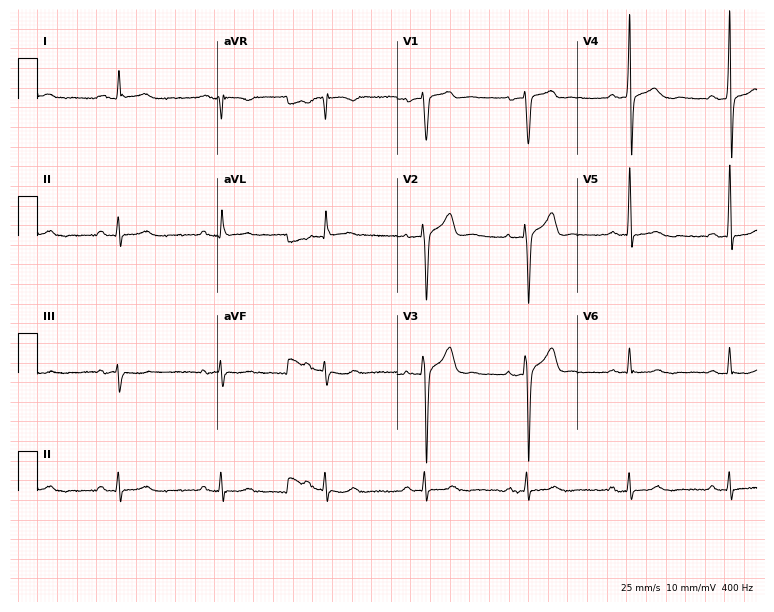
Resting 12-lead electrocardiogram (7.3-second recording at 400 Hz). Patient: a 58-year-old man. None of these six findings is recorded: first-degree AV block, right bundle branch block, left bundle branch block, sinus bradycardia, atrial fibrillation, sinus tachycardia.